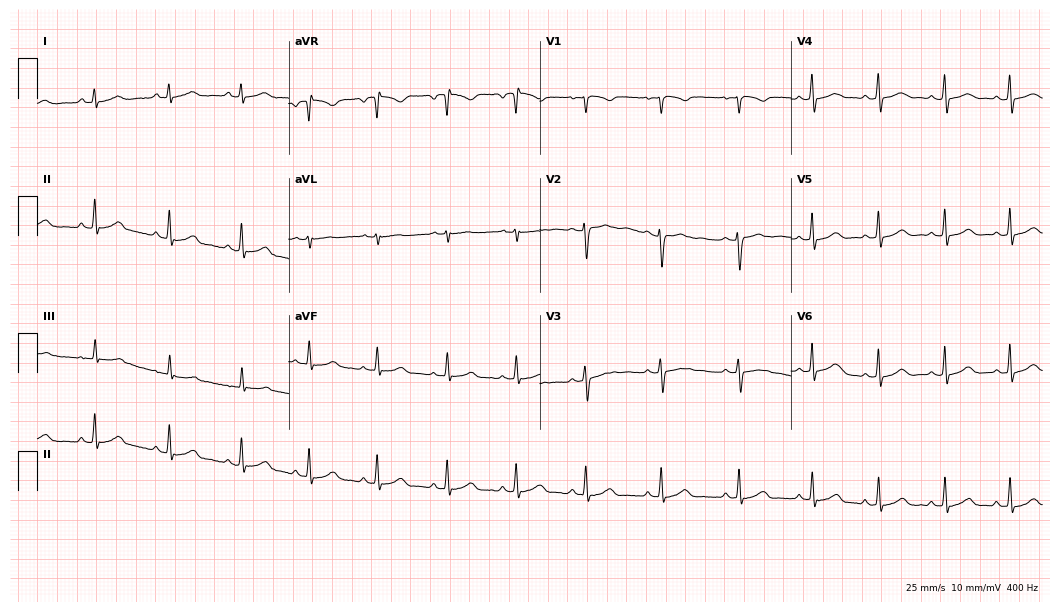
12-lead ECG from a female patient, 19 years old (10.2-second recording at 400 Hz). Recorded interpretation: within normal limits.